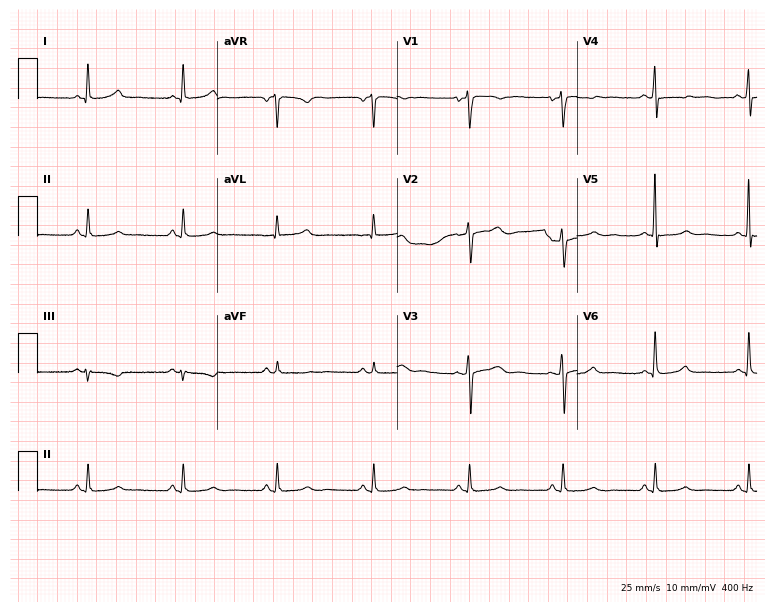
Electrocardiogram (7.3-second recording at 400 Hz), a woman, 60 years old. Of the six screened findings (first-degree AV block, right bundle branch block, left bundle branch block, sinus bradycardia, atrial fibrillation, sinus tachycardia), none is recorded. Other findings, if any, are not listed.